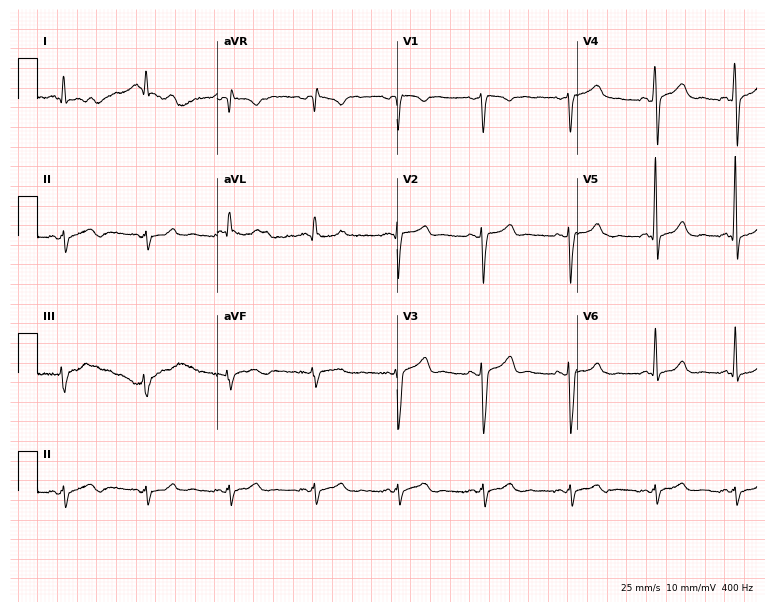
Standard 12-lead ECG recorded from a 25-year-old female patient (7.3-second recording at 400 Hz). None of these six findings is recorded: first-degree AV block, right bundle branch block (RBBB), left bundle branch block (LBBB), sinus bradycardia, atrial fibrillation (AF), sinus tachycardia. Findings outside these six are not listed.